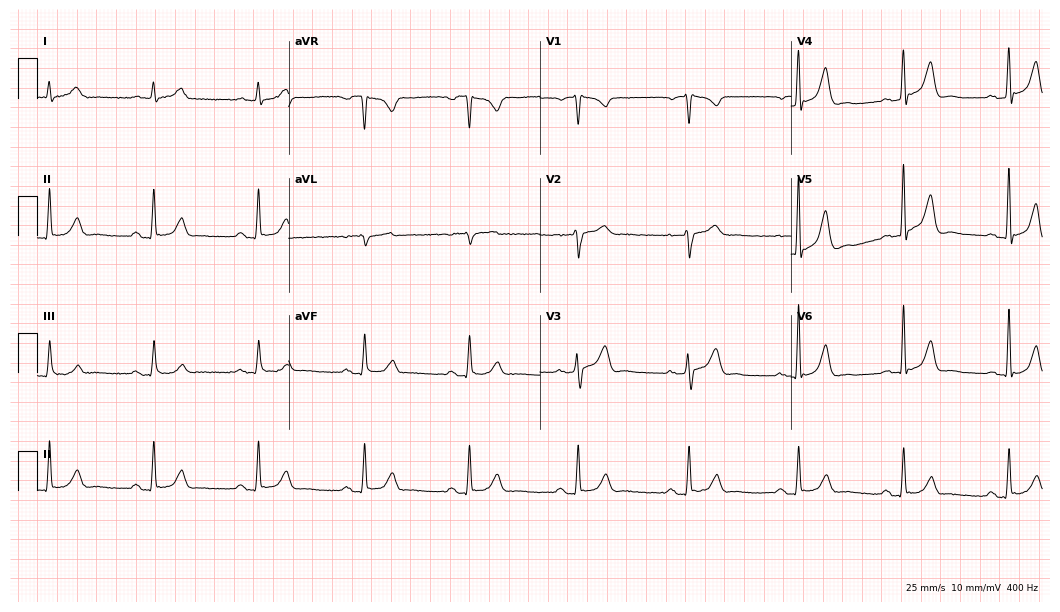
Standard 12-lead ECG recorded from a male patient, 59 years old (10.2-second recording at 400 Hz). Read as a normal ECG.